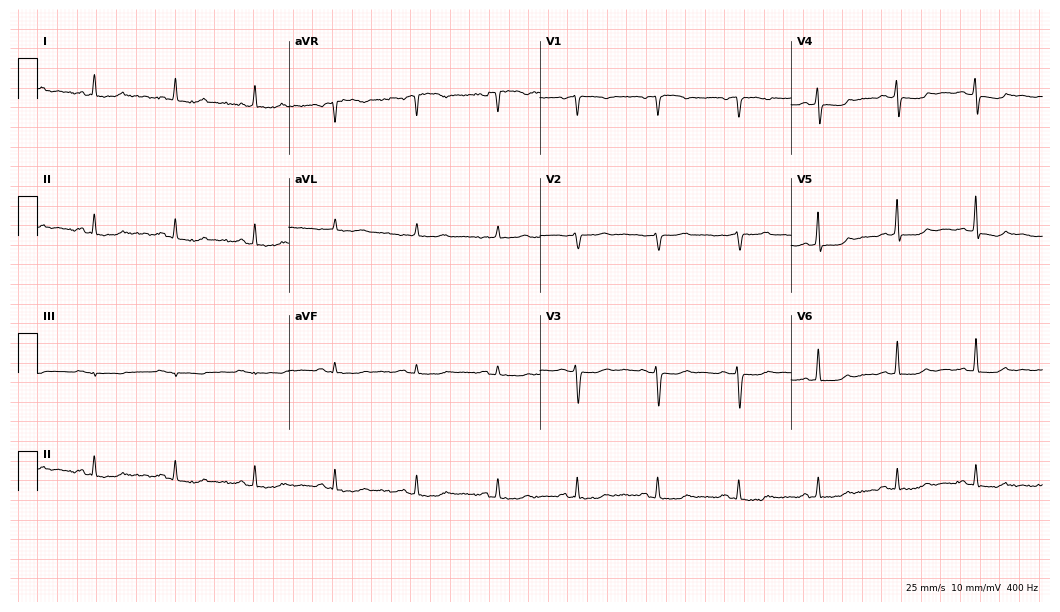
Electrocardiogram (10.2-second recording at 400 Hz), a 71-year-old female patient. Of the six screened findings (first-degree AV block, right bundle branch block (RBBB), left bundle branch block (LBBB), sinus bradycardia, atrial fibrillation (AF), sinus tachycardia), none is recorded. Only these six findings were labelled.